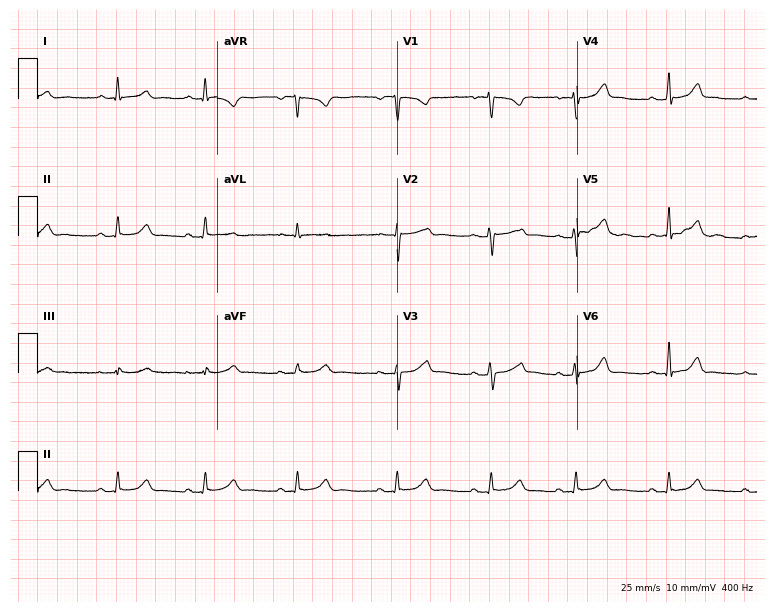
12-lead ECG from a woman, 22 years old. Recorded interpretation: within normal limits.